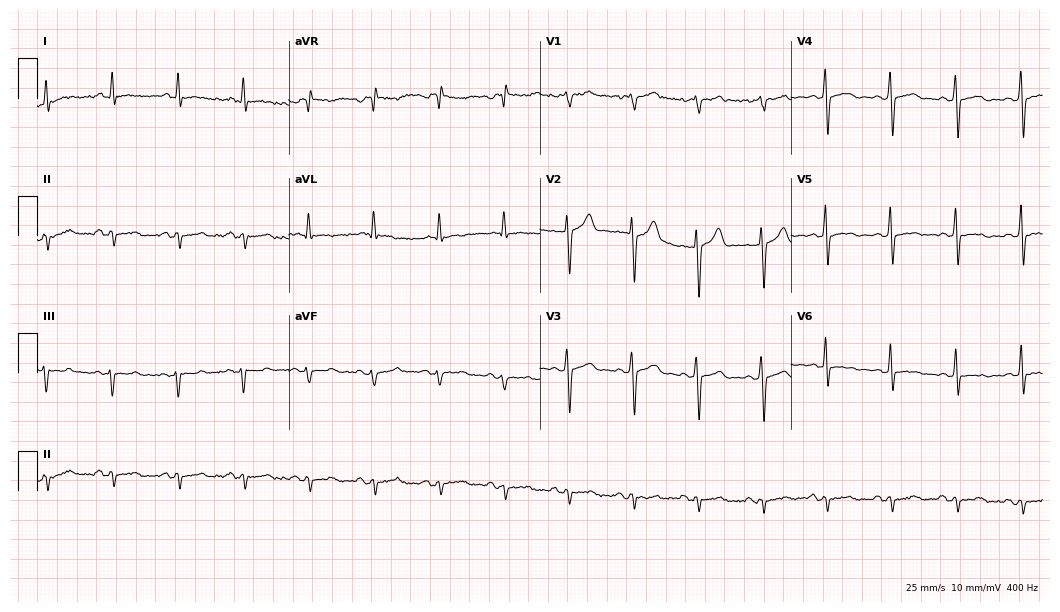
12-lead ECG from a 42-year-old male patient (10.2-second recording at 400 Hz). No first-degree AV block, right bundle branch block, left bundle branch block, sinus bradycardia, atrial fibrillation or sinus tachycardia recorded for this tracing. Other findings, if any, are not listed.